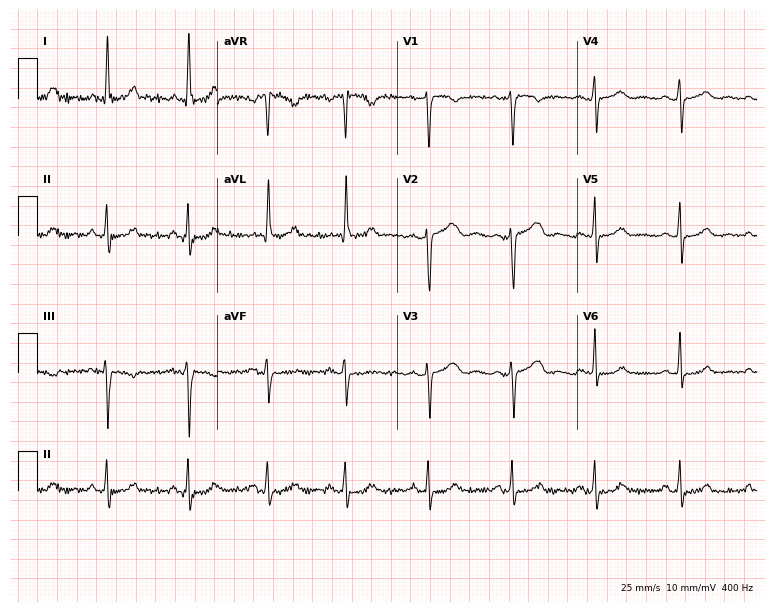
12-lead ECG from a female, 41 years old. No first-degree AV block, right bundle branch block (RBBB), left bundle branch block (LBBB), sinus bradycardia, atrial fibrillation (AF) or sinus tachycardia recorded for this tracing. Only these six findings were labelled.